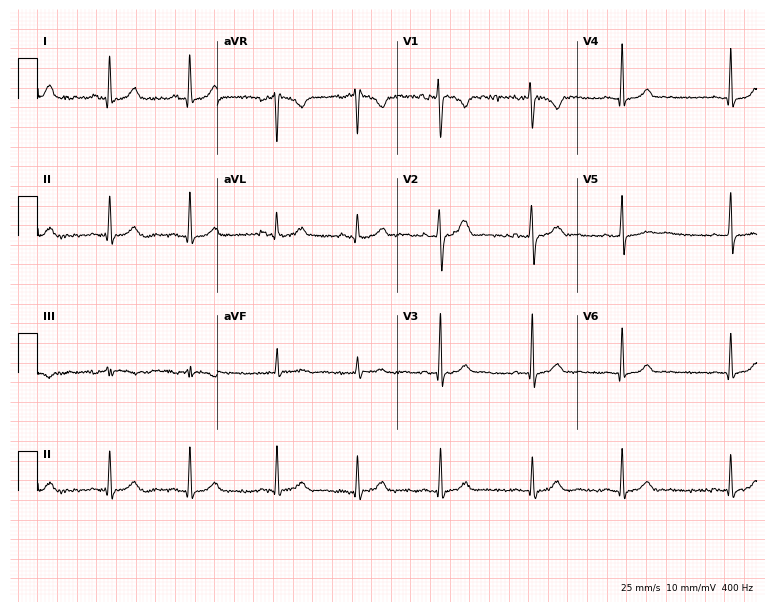
12-lead ECG (7.3-second recording at 400 Hz) from a 29-year-old female patient. Labelled as a normal ECG.